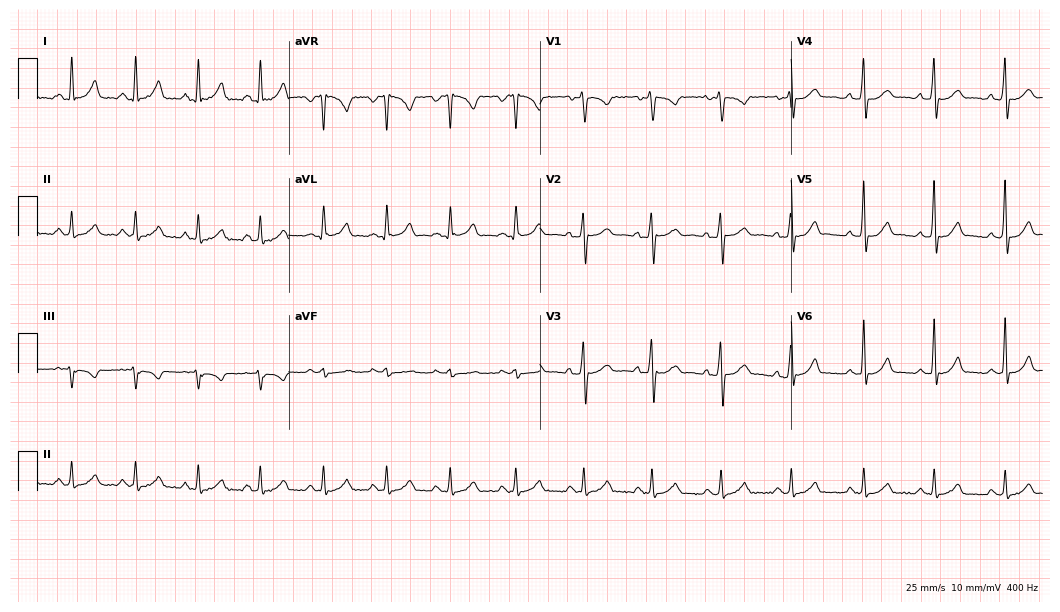
ECG (10.2-second recording at 400 Hz) — a 27-year-old woman. Labelled as a normal ECG.